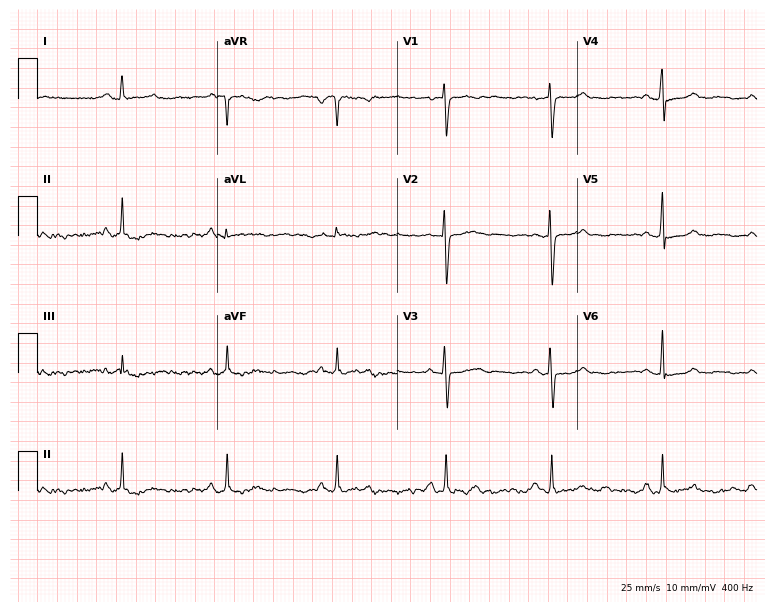
ECG — a woman, 67 years old. Screened for six findings — first-degree AV block, right bundle branch block, left bundle branch block, sinus bradycardia, atrial fibrillation, sinus tachycardia — none is recorded.